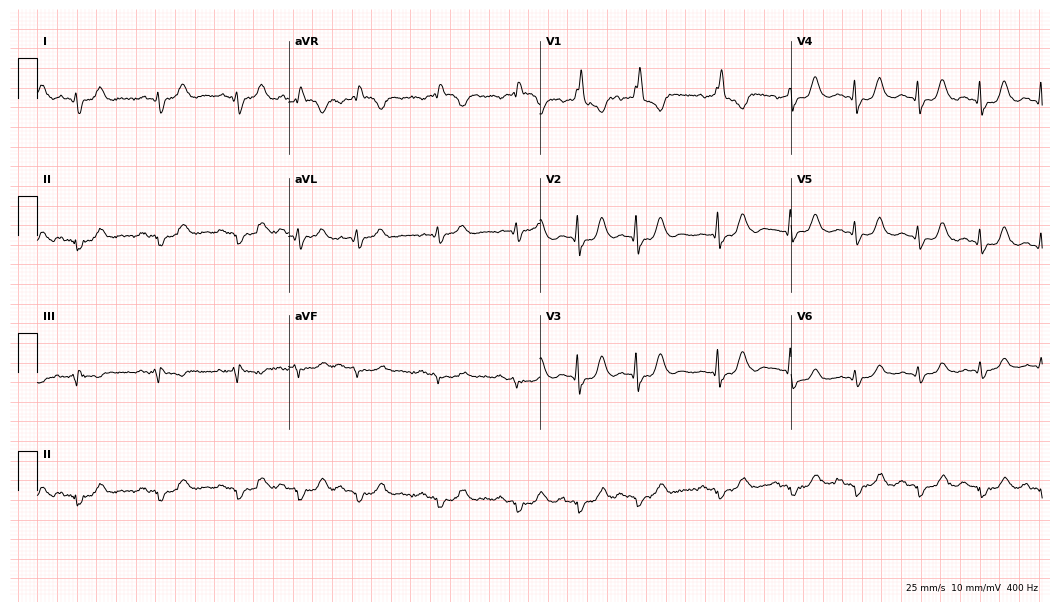
ECG (10.2-second recording at 400 Hz) — a female, 73 years old. Findings include right bundle branch block (RBBB), atrial fibrillation (AF).